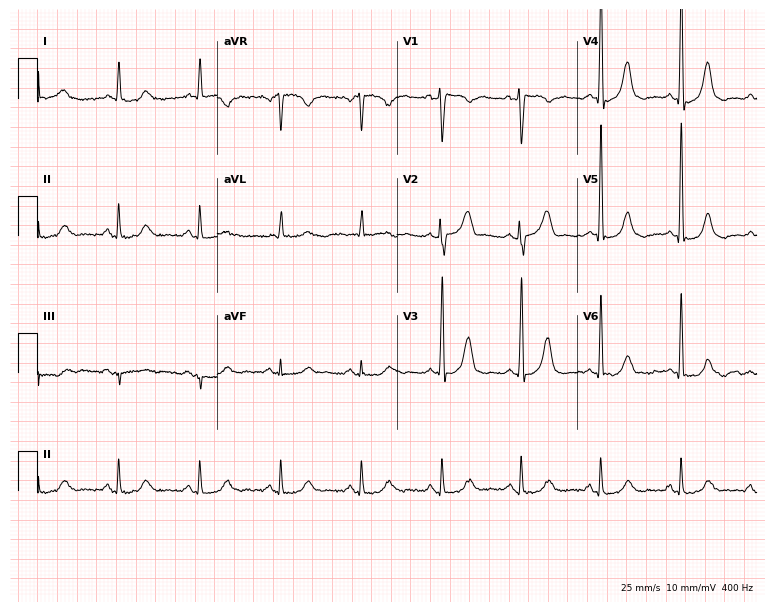
12-lead ECG from a male patient, 79 years old. Screened for six findings — first-degree AV block, right bundle branch block, left bundle branch block, sinus bradycardia, atrial fibrillation, sinus tachycardia — none is recorded. Only these six findings were labelled.